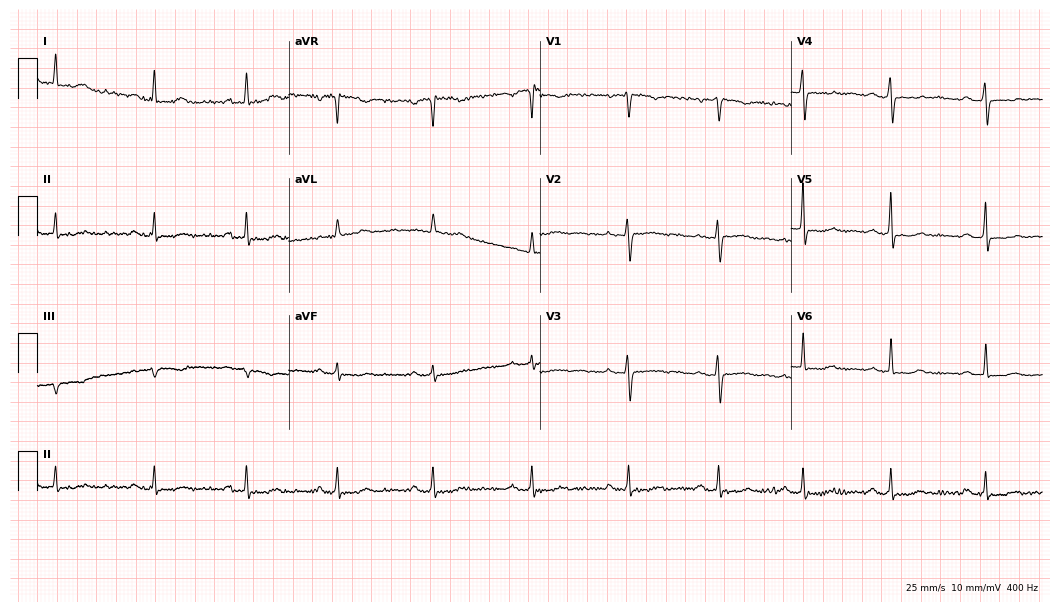
Resting 12-lead electrocardiogram. Patient: a 54-year-old male. None of these six findings is recorded: first-degree AV block, right bundle branch block, left bundle branch block, sinus bradycardia, atrial fibrillation, sinus tachycardia. Findings outside these six are not listed.